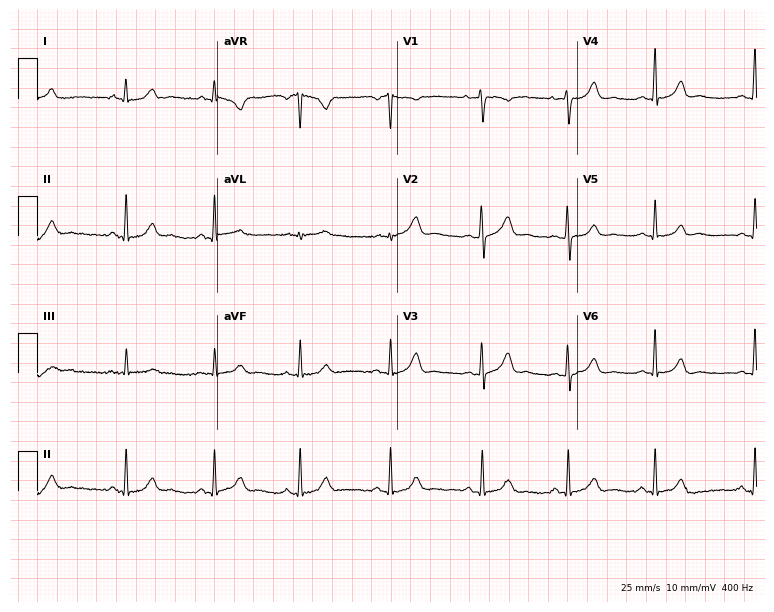
Standard 12-lead ECG recorded from a 20-year-old woman. Read as a normal ECG.